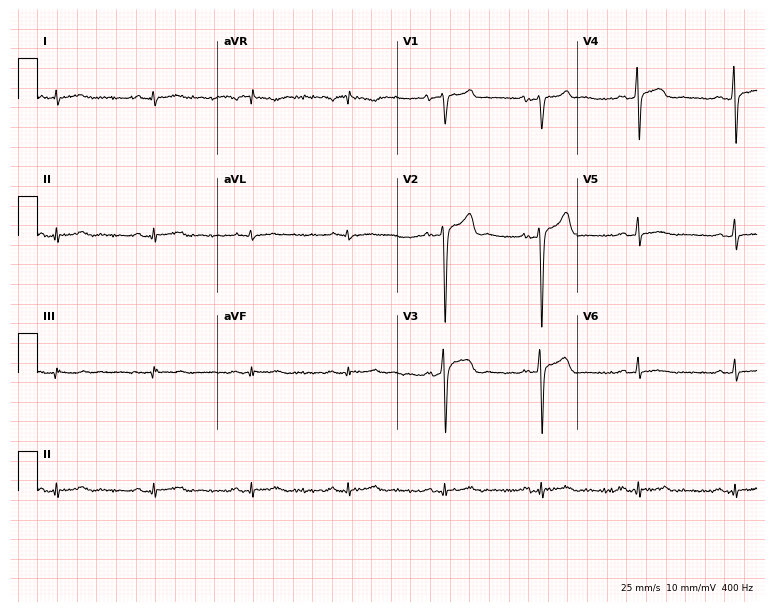
Standard 12-lead ECG recorded from a man, 45 years old (7.3-second recording at 400 Hz). None of these six findings is recorded: first-degree AV block, right bundle branch block, left bundle branch block, sinus bradycardia, atrial fibrillation, sinus tachycardia. Findings outside these six are not listed.